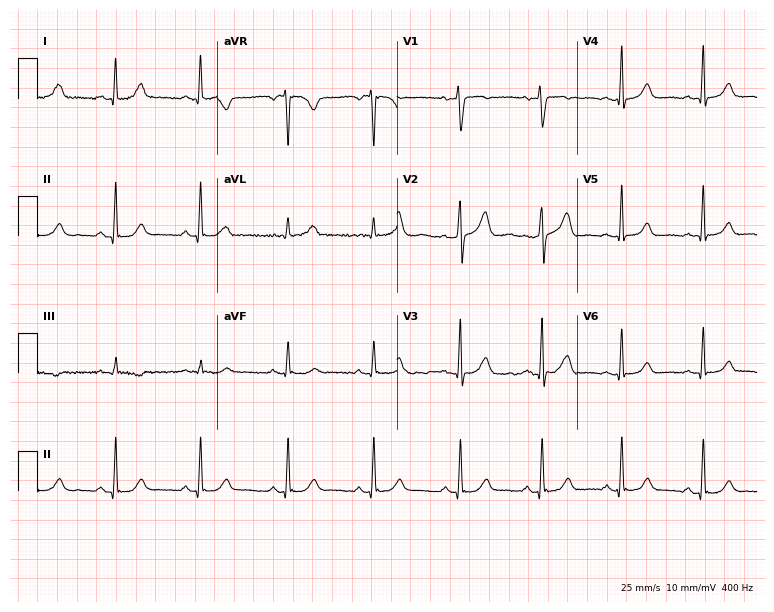
Standard 12-lead ECG recorded from a 44-year-old female. Read as a normal ECG.